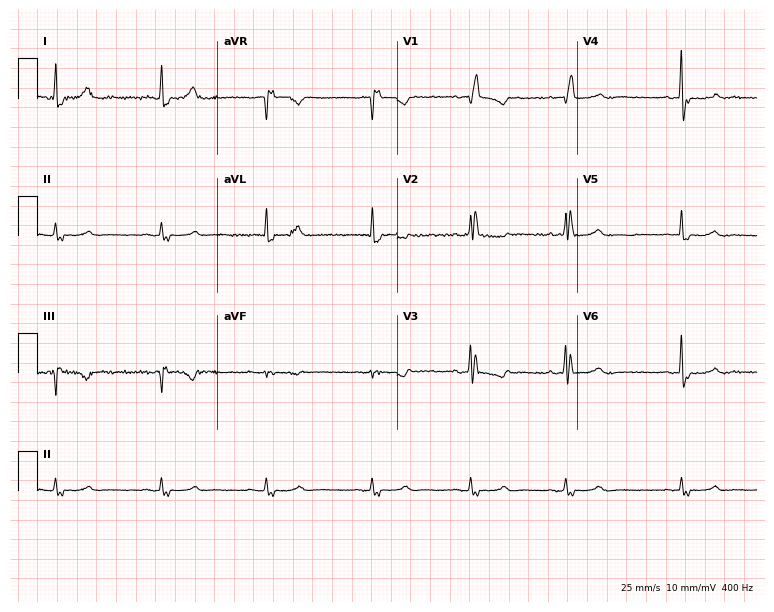
12-lead ECG from a 79-year-old woman. Shows right bundle branch block.